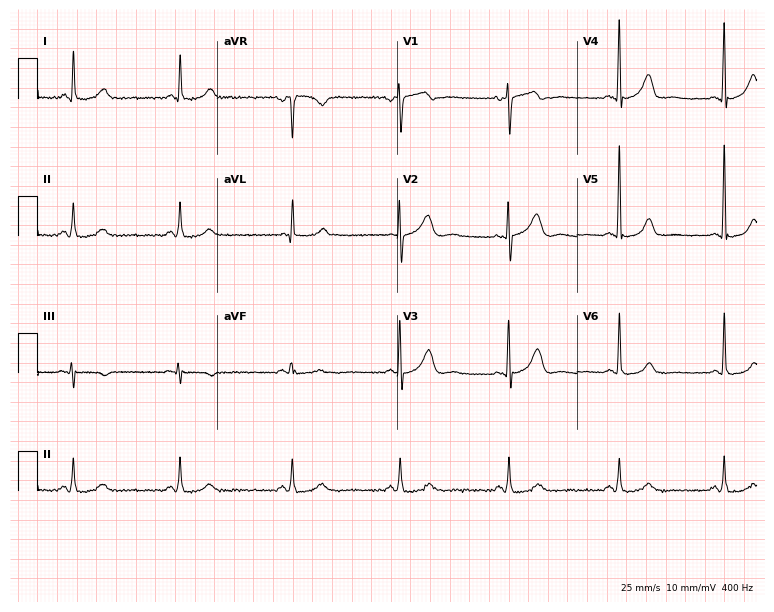
Standard 12-lead ECG recorded from a female patient, 65 years old. None of these six findings is recorded: first-degree AV block, right bundle branch block, left bundle branch block, sinus bradycardia, atrial fibrillation, sinus tachycardia.